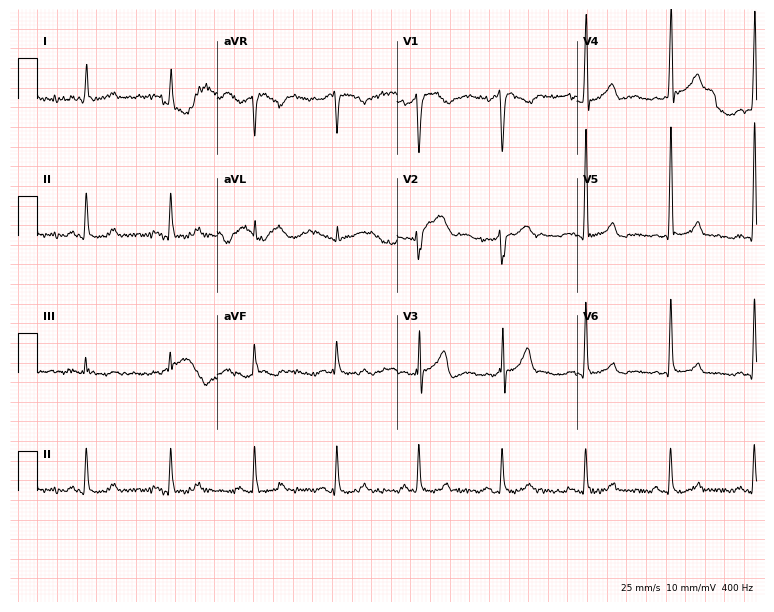
12-lead ECG from a 50-year-old male patient (7.3-second recording at 400 Hz). Recorded interpretation: within normal limits.